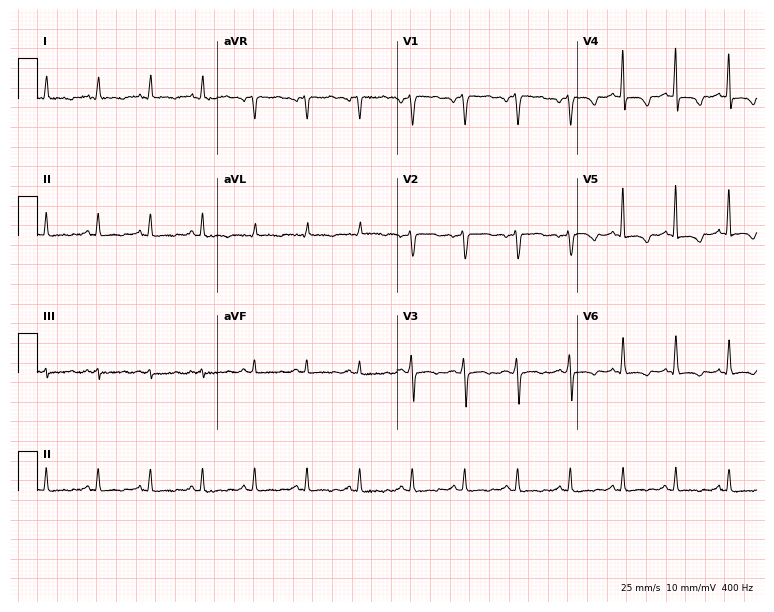
12-lead ECG from a 60-year-old female. Shows sinus tachycardia (a sinus rate of 100 beats per minute or more).